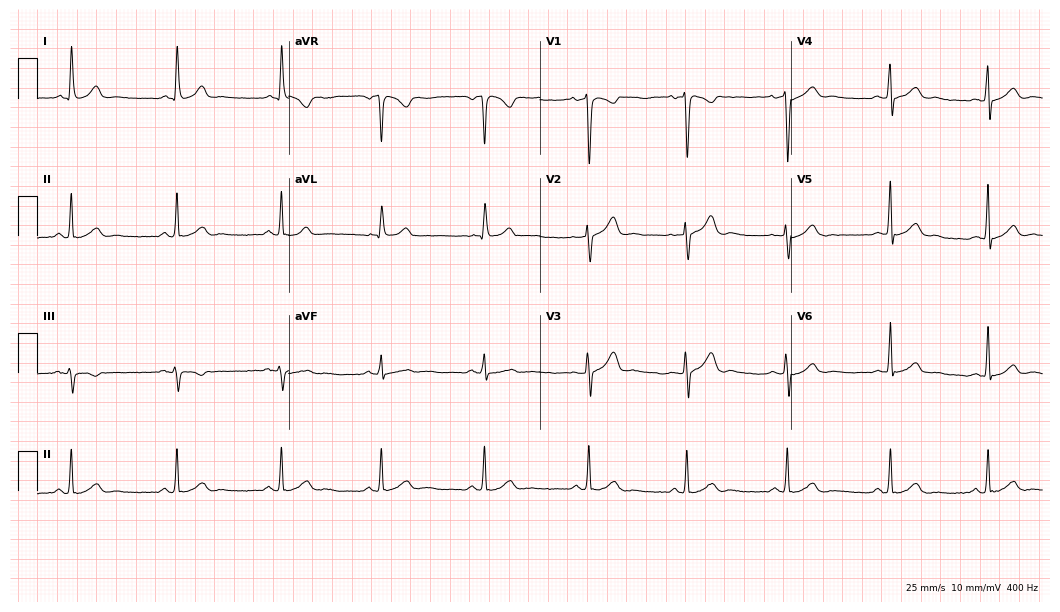
Resting 12-lead electrocardiogram (10.2-second recording at 400 Hz). Patient: a 47-year-old female. Read as a normal ECG.